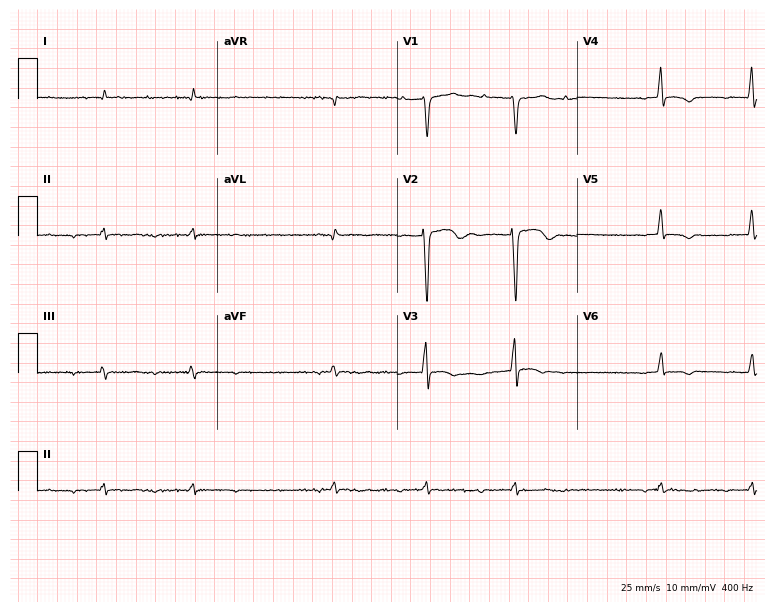
Standard 12-lead ECG recorded from a female patient, 50 years old. None of these six findings is recorded: first-degree AV block, right bundle branch block, left bundle branch block, sinus bradycardia, atrial fibrillation, sinus tachycardia. Only these six findings were labelled.